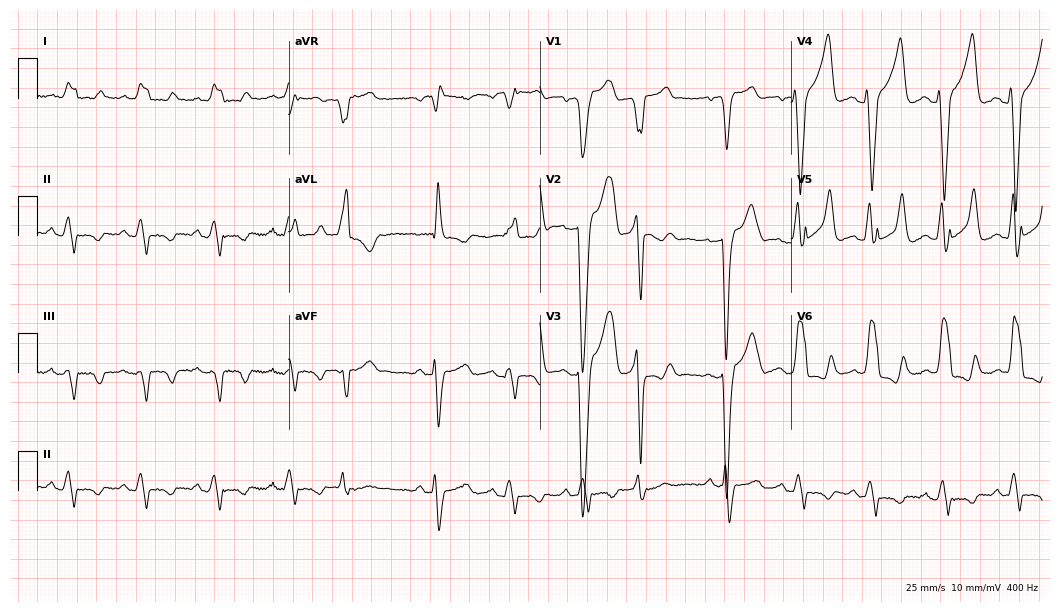
12-lead ECG from a man, 85 years old. Shows left bundle branch block (LBBB).